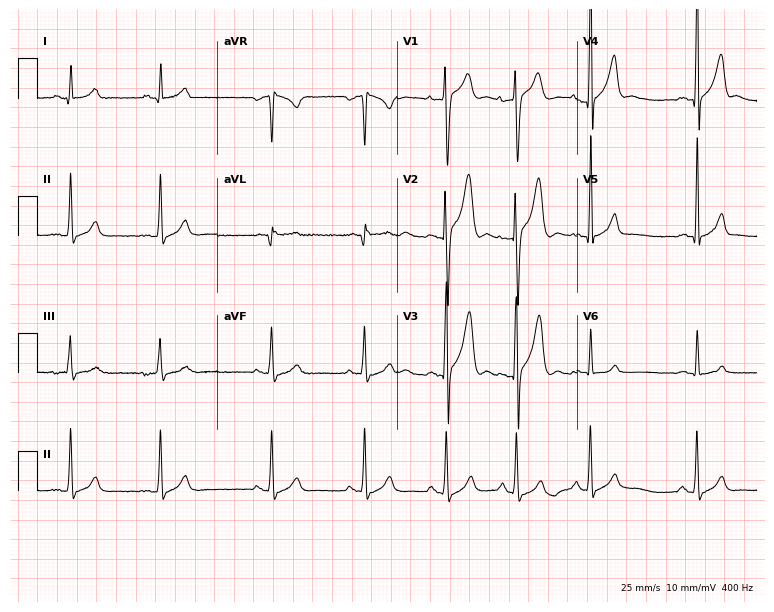
12-lead ECG from a 23-year-old man. Labelled as a normal ECG.